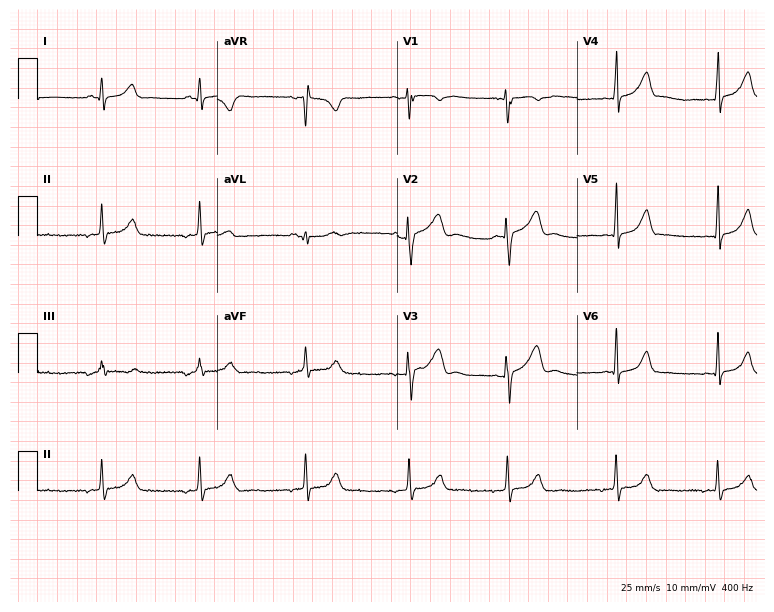
ECG (7.3-second recording at 400 Hz) — a 24-year-old female patient. Screened for six findings — first-degree AV block, right bundle branch block, left bundle branch block, sinus bradycardia, atrial fibrillation, sinus tachycardia — none is recorded. Other findings, if any, are not listed.